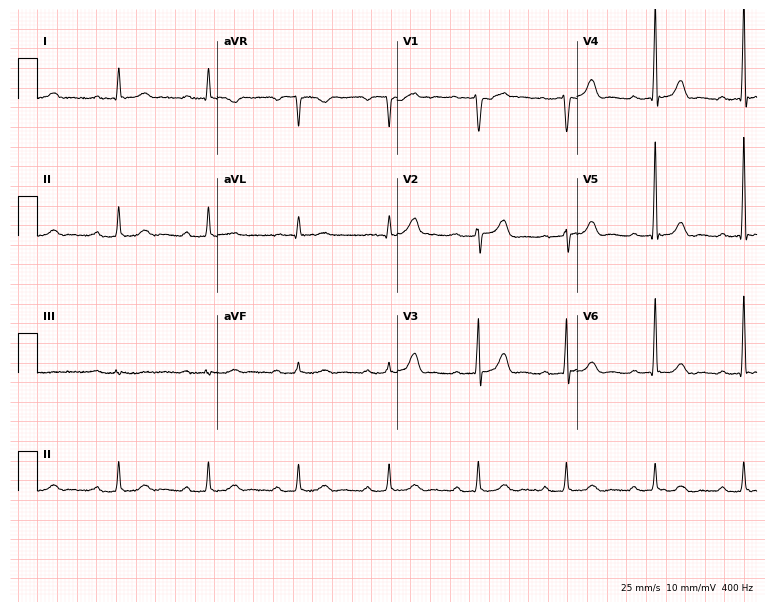
Electrocardiogram, a male, 72 years old. Overall reading on record: normal ECG.